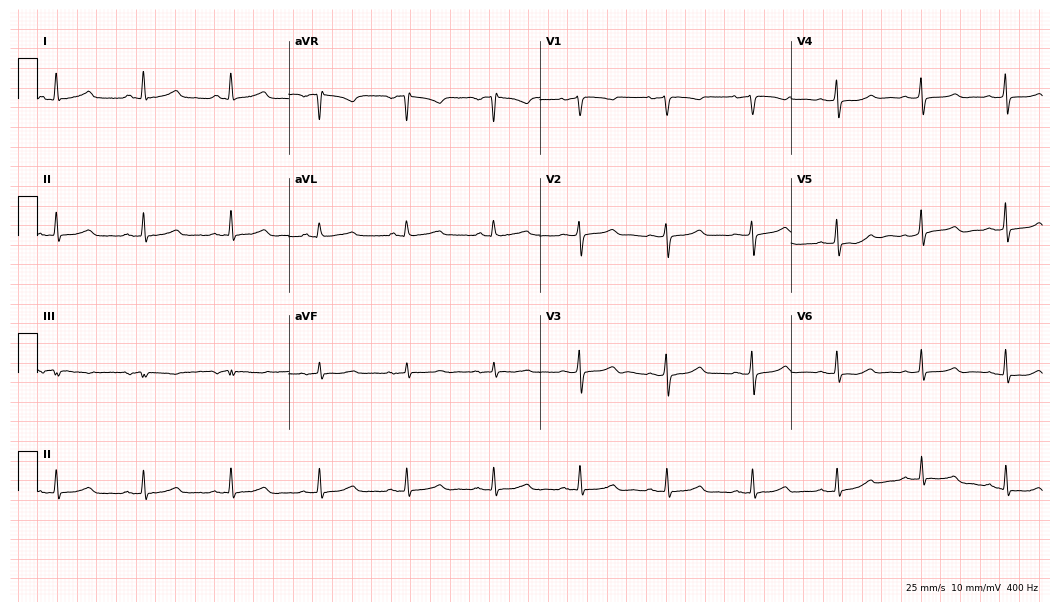
12-lead ECG from a female, 62 years old. Recorded interpretation: within normal limits.